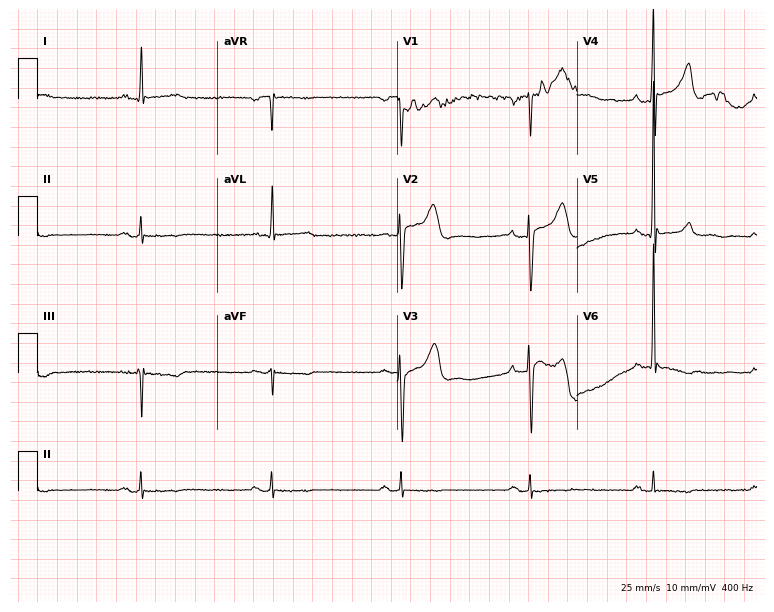
Electrocardiogram, a woman, 57 years old. Of the six screened findings (first-degree AV block, right bundle branch block (RBBB), left bundle branch block (LBBB), sinus bradycardia, atrial fibrillation (AF), sinus tachycardia), none is recorded. Other findings, if any, are not listed.